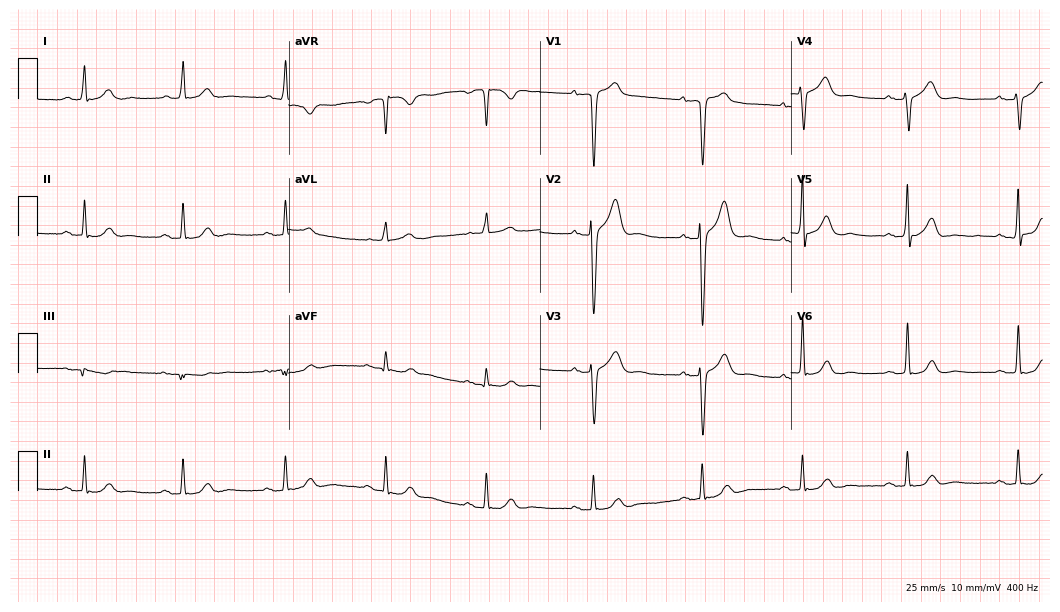
ECG (10.2-second recording at 400 Hz) — a male patient, 70 years old. Screened for six findings — first-degree AV block, right bundle branch block, left bundle branch block, sinus bradycardia, atrial fibrillation, sinus tachycardia — none is recorded.